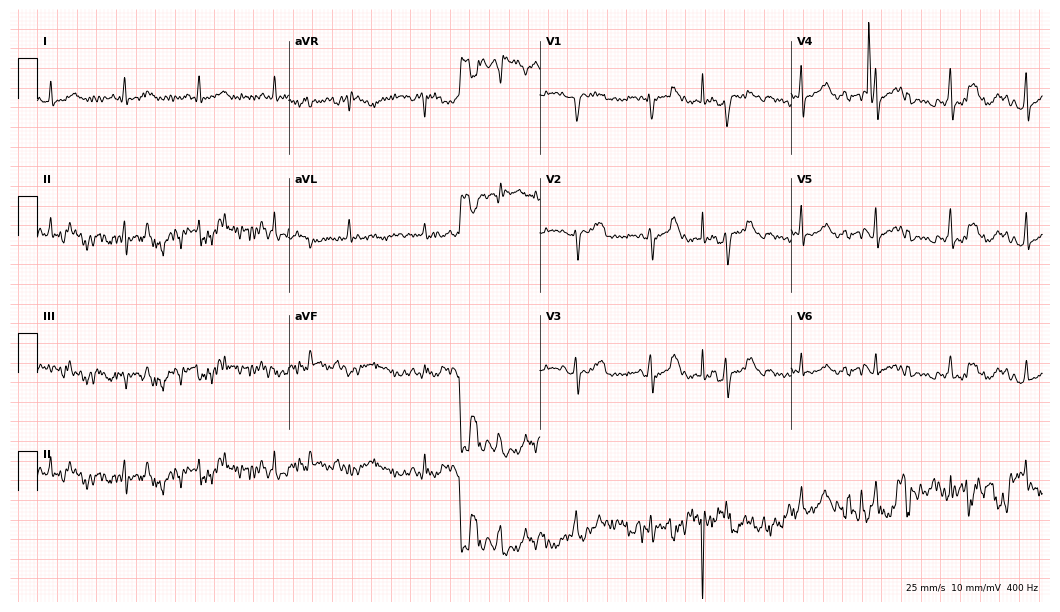
Standard 12-lead ECG recorded from a female, 69 years old (10.2-second recording at 400 Hz). Read as a normal ECG.